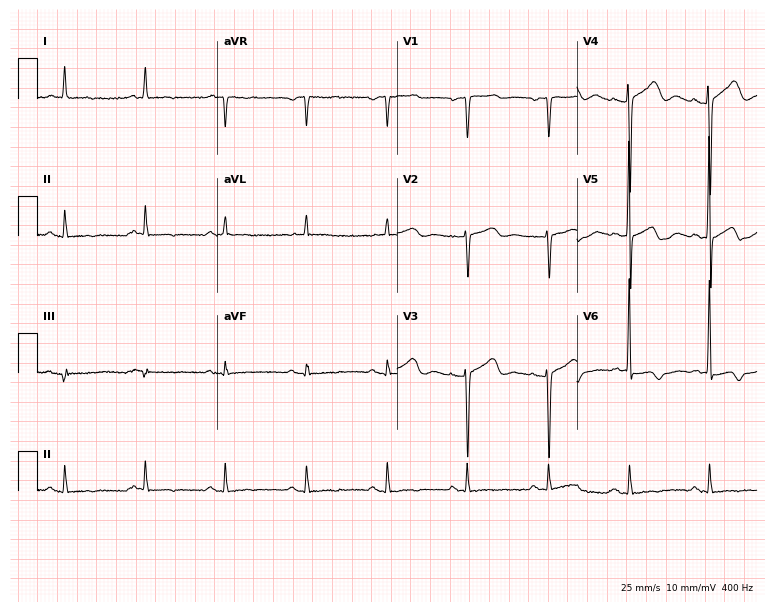
ECG (7.3-second recording at 400 Hz) — an 85-year-old female patient. Screened for six findings — first-degree AV block, right bundle branch block (RBBB), left bundle branch block (LBBB), sinus bradycardia, atrial fibrillation (AF), sinus tachycardia — none is recorded. Only these six findings were labelled.